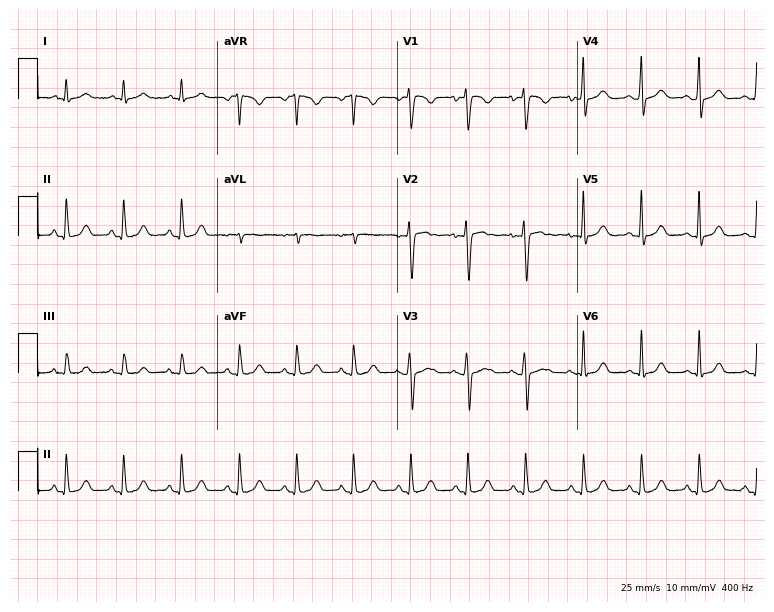
12-lead ECG (7.3-second recording at 400 Hz) from a female, 38 years old. Findings include sinus tachycardia (a sinus rate of 100 beats per minute or more).